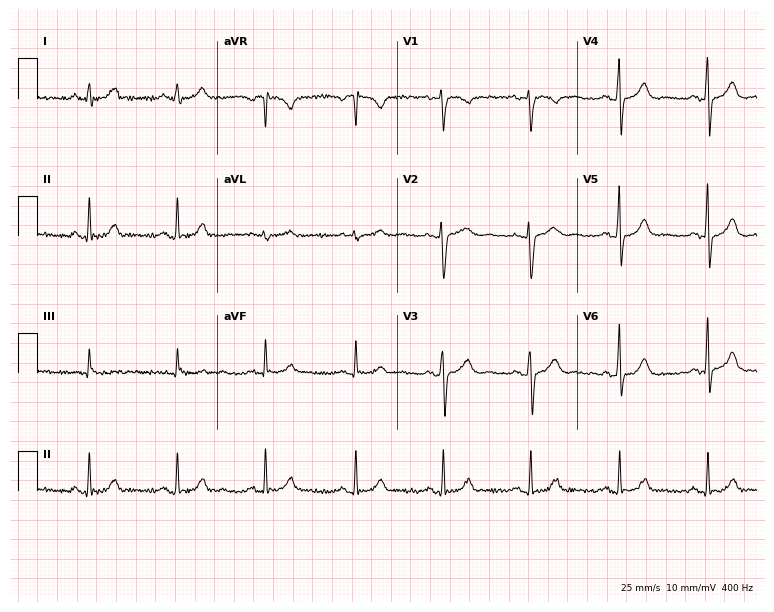
Resting 12-lead electrocardiogram. Patient: a female, 56 years old. Read as a normal ECG.